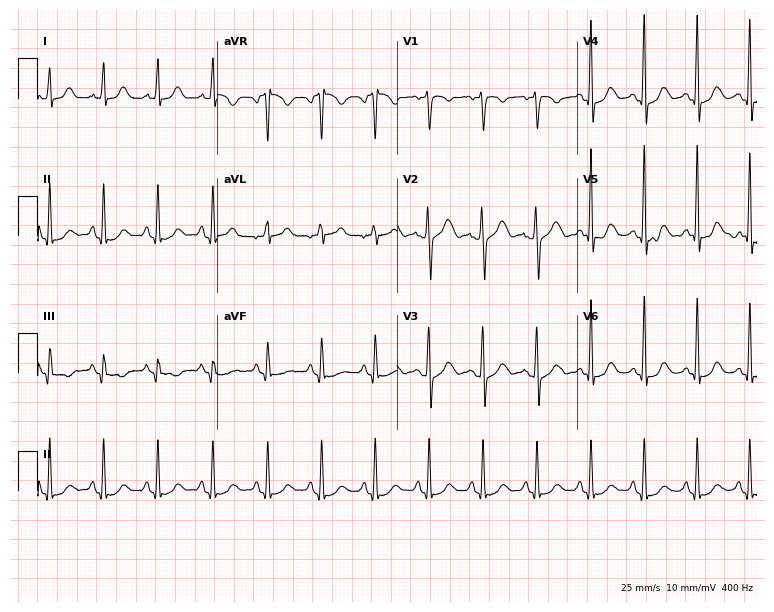
Resting 12-lead electrocardiogram (7.3-second recording at 400 Hz). Patient: a female, 51 years old. The tracing shows sinus tachycardia (a sinus rate of 100 beats per minute or more).